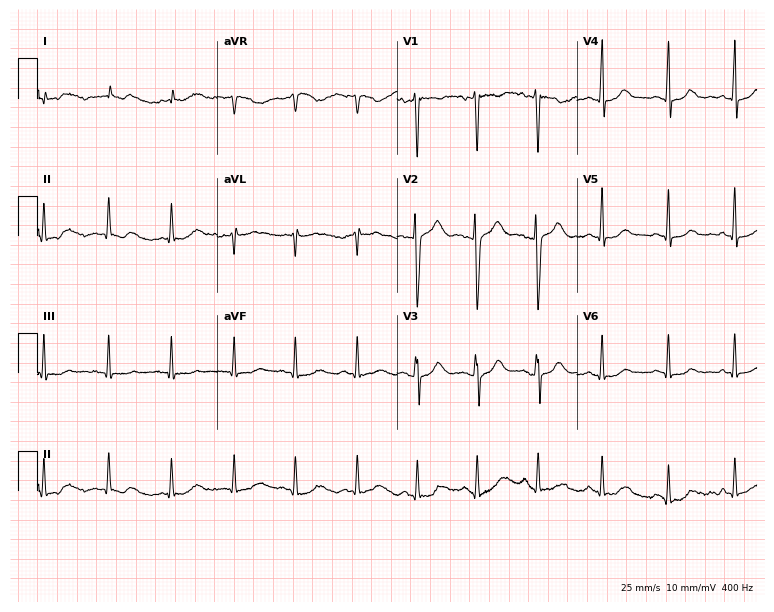
Resting 12-lead electrocardiogram (7.3-second recording at 400 Hz). Patient: a female, 35 years old. Read as a normal ECG.